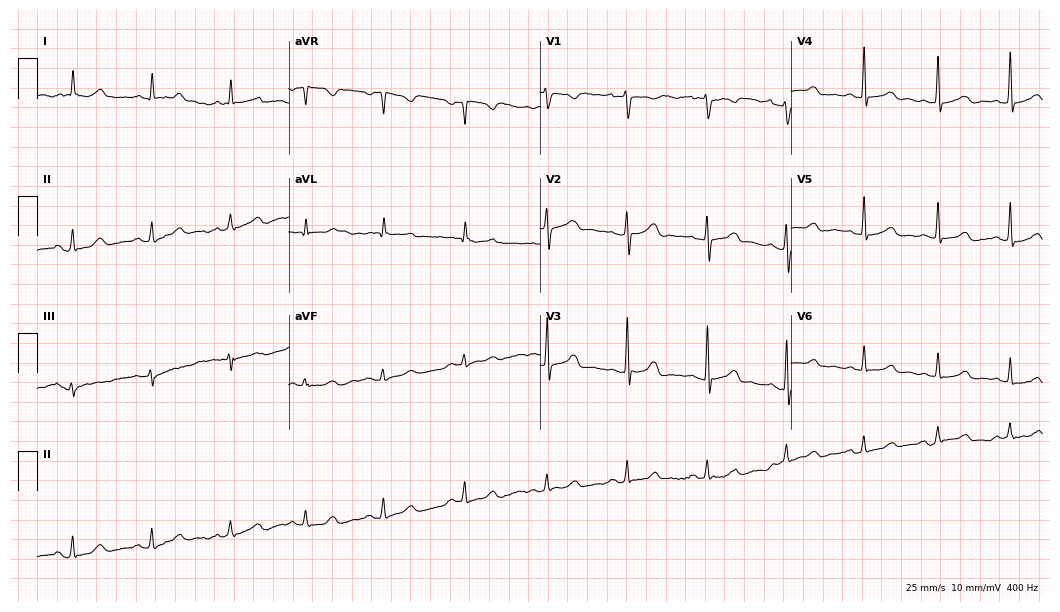
Electrocardiogram (10.2-second recording at 400 Hz), a 52-year-old woman. Of the six screened findings (first-degree AV block, right bundle branch block (RBBB), left bundle branch block (LBBB), sinus bradycardia, atrial fibrillation (AF), sinus tachycardia), none is recorded.